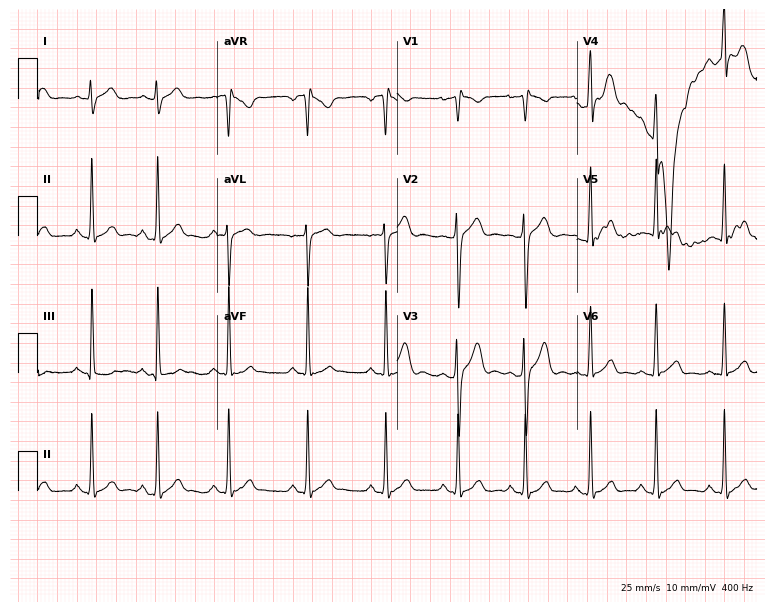
12-lead ECG from a 22-year-old male. Labelled as a normal ECG.